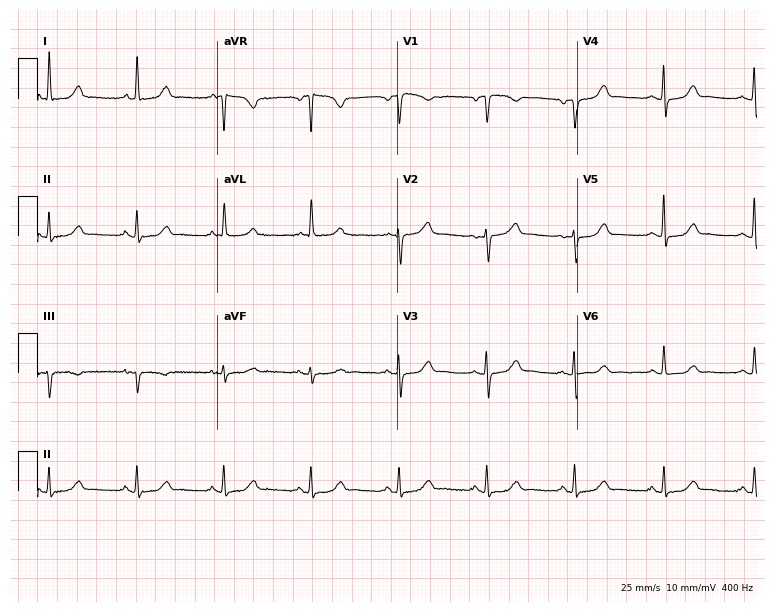
12-lead ECG from a 58-year-old woman. Recorded interpretation: within normal limits.